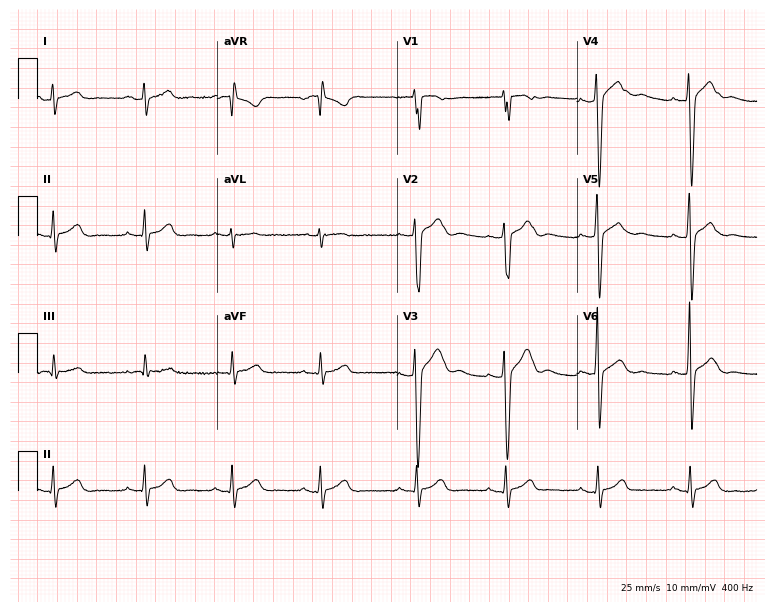
12-lead ECG from an 18-year-old man. Recorded interpretation: within normal limits.